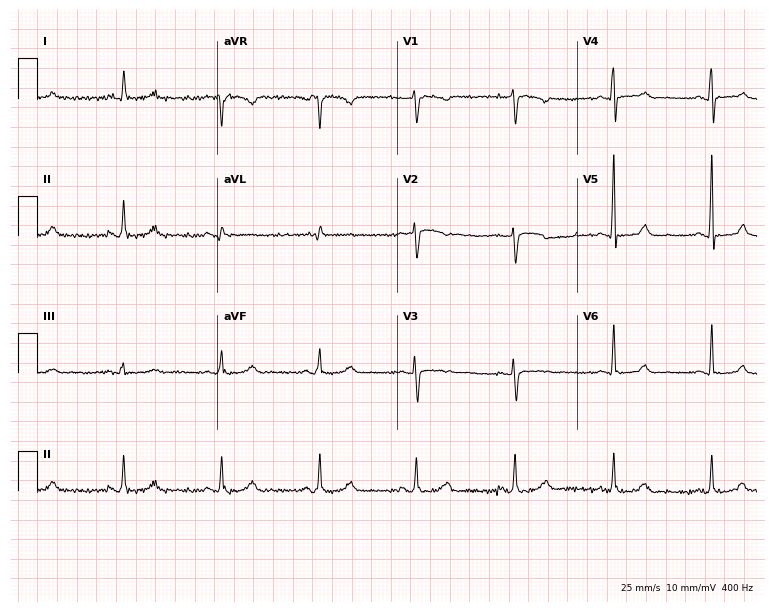
12-lead ECG from a 62-year-old female patient (7.3-second recording at 400 Hz). Recorded interpretation: within normal limits.